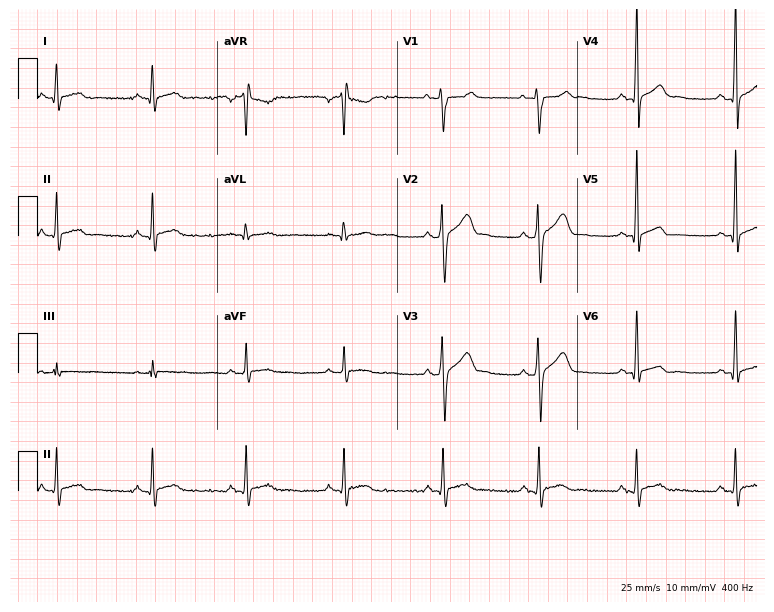
Standard 12-lead ECG recorded from a man, 21 years old. None of these six findings is recorded: first-degree AV block, right bundle branch block (RBBB), left bundle branch block (LBBB), sinus bradycardia, atrial fibrillation (AF), sinus tachycardia. Findings outside these six are not listed.